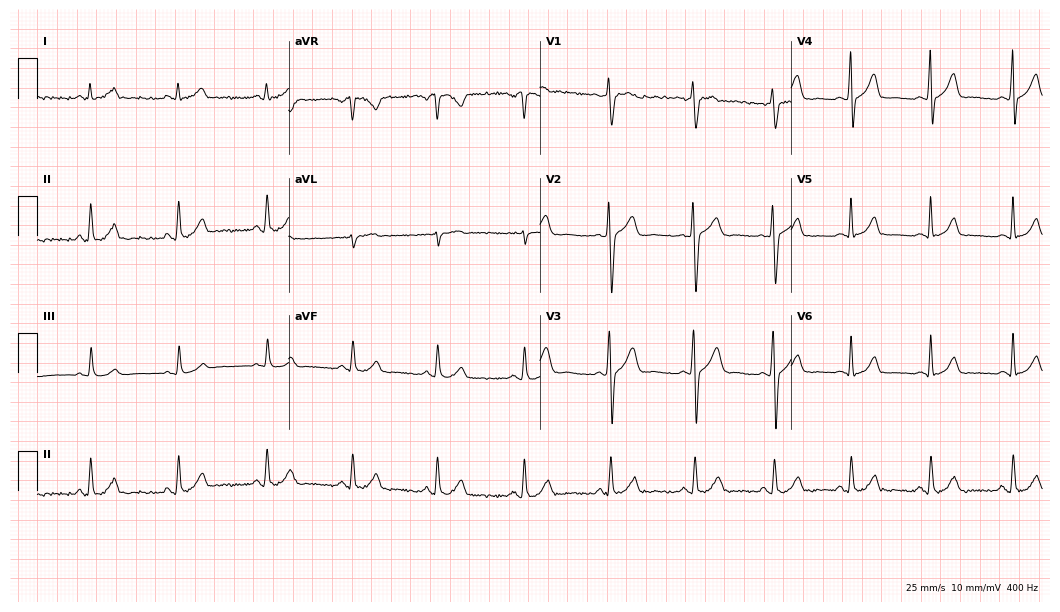
Standard 12-lead ECG recorded from a male, 24 years old (10.2-second recording at 400 Hz). None of these six findings is recorded: first-degree AV block, right bundle branch block (RBBB), left bundle branch block (LBBB), sinus bradycardia, atrial fibrillation (AF), sinus tachycardia.